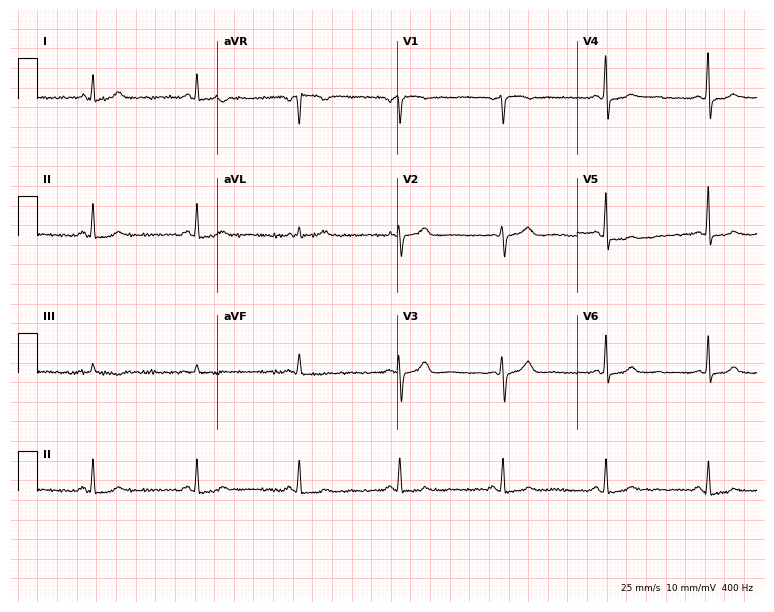
Standard 12-lead ECG recorded from a female, 52 years old. None of these six findings is recorded: first-degree AV block, right bundle branch block (RBBB), left bundle branch block (LBBB), sinus bradycardia, atrial fibrillation (AF), sinus tachycardia.